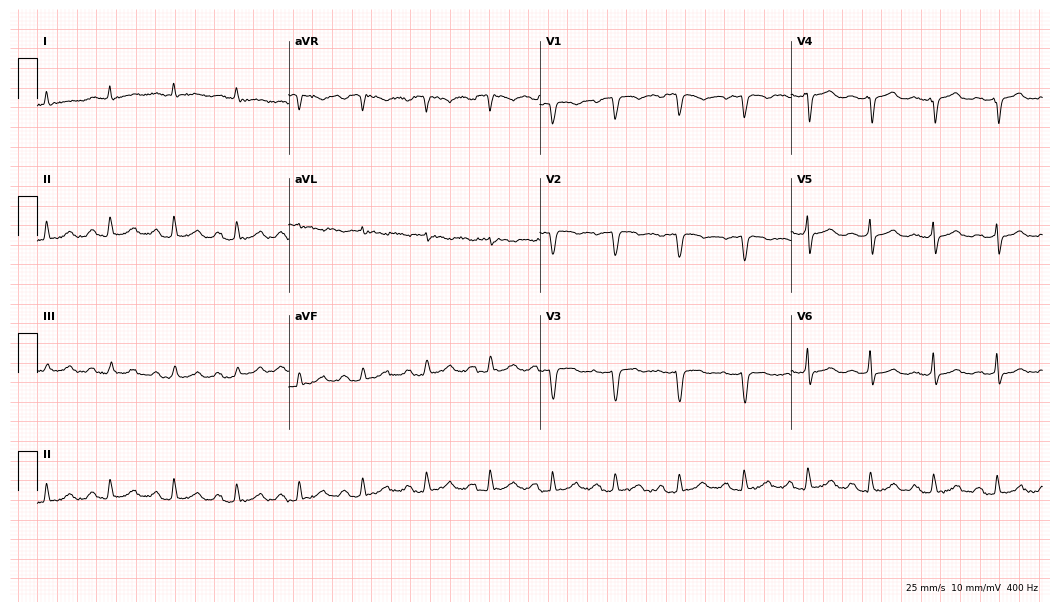
12-lead ECG from a 79-year-old woman. Screened for six findings — first-degree AV block, right bundle branch block, left bundle branch block, sinus bradycardia, atrial fibrillation, sinus tachycardia — none is recorded.